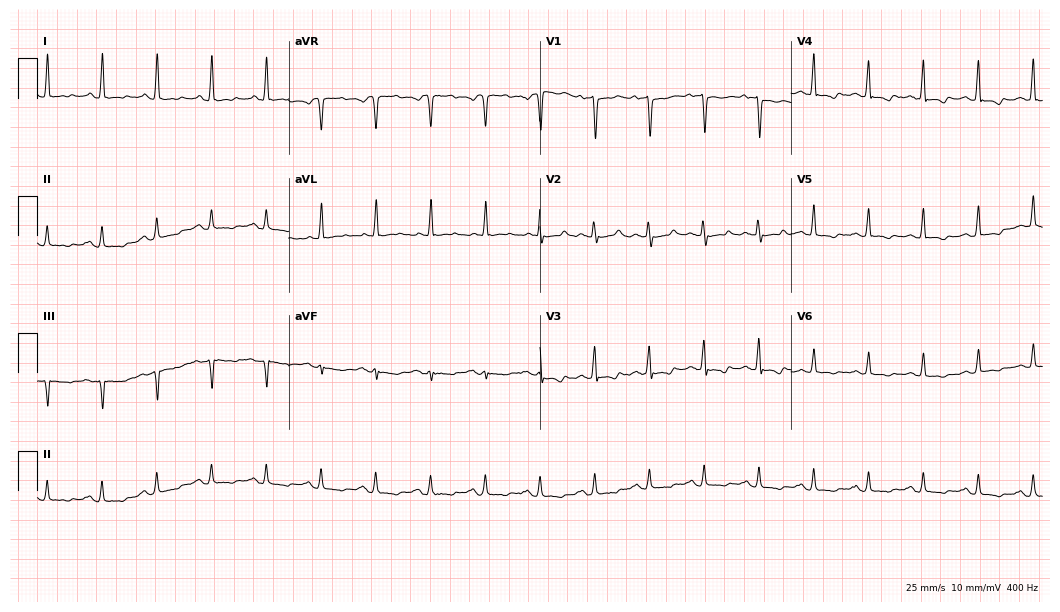
12-lead ECG from a female, 68 years old (10.2-second recording at 400 Hz). Shows sinus tachycardia (a sinus rate of 100 beats per minute or more).